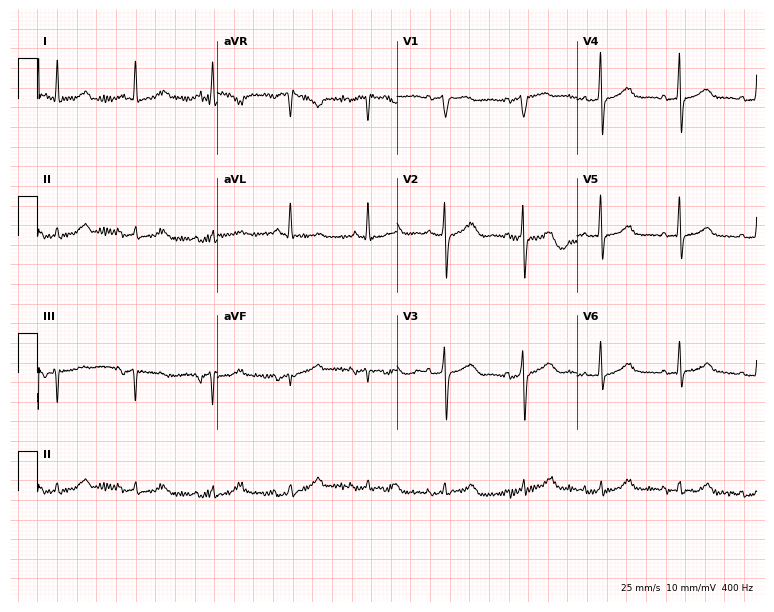
12-lead ECG from a female patient, 72 years old. Screened for six findings — first-degree AV block, right bundle branch block, left bundle branch block, sinus bradycardia, atrial fibrillation, sinus tachycardia — none is recorded. Other findings, if any, are not listed.